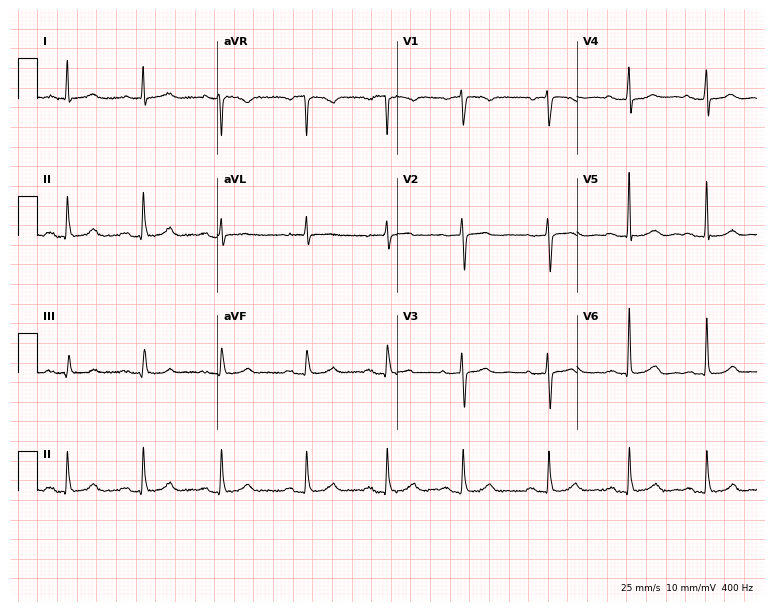
ECG — a 67-year-old woman. Labelled as a normal ECG.